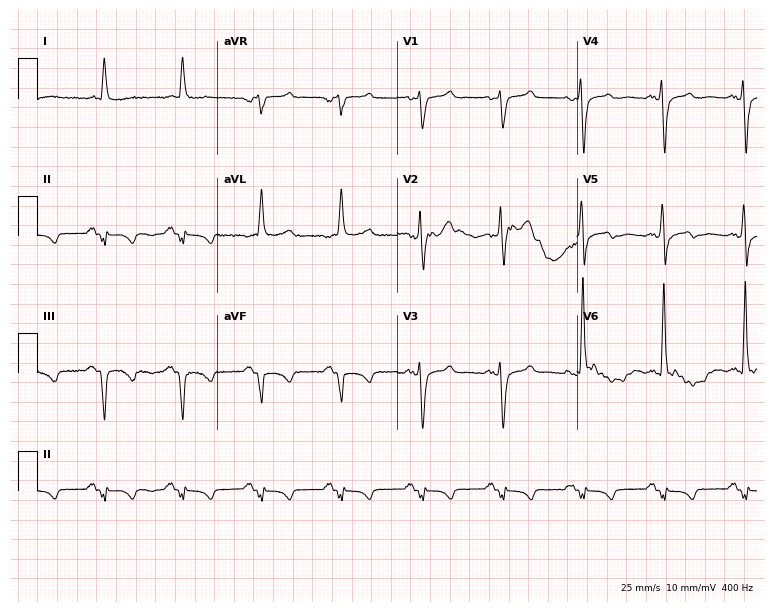
12-lead ECG from an 81-year-old male (7.3-second recording at 400 Hz). No first-degree AV block, right bundle branch block, left bundle branch block, sinus bradycardia, atrial fibrillation or sinus tachycardia recorded for this tracing.